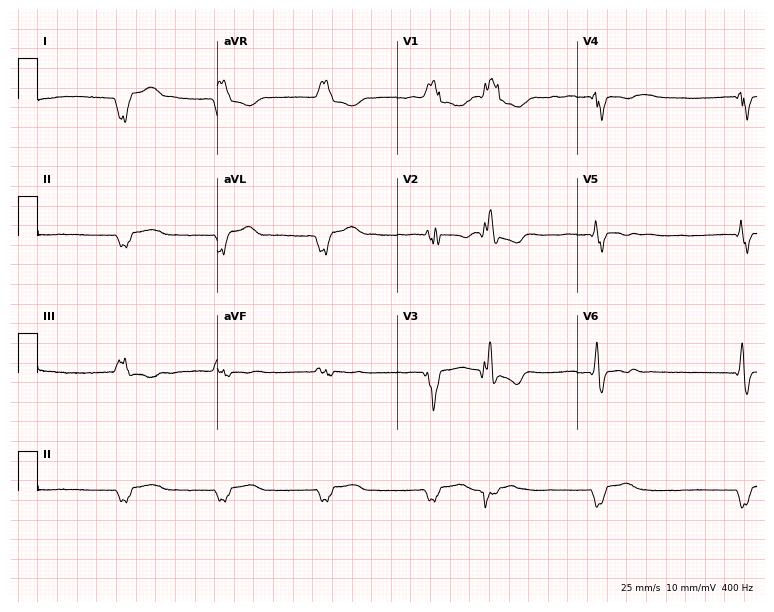
Resting 12-lead electrocardiogram. Patient: a 57-year-old female. None of these six findings is recorded: first-degree AV block, right bundle branch block, left bundle branch block, sinus bradycardia, atrial fibrillation, sinus tachycardia. Only these six findings were labelled.